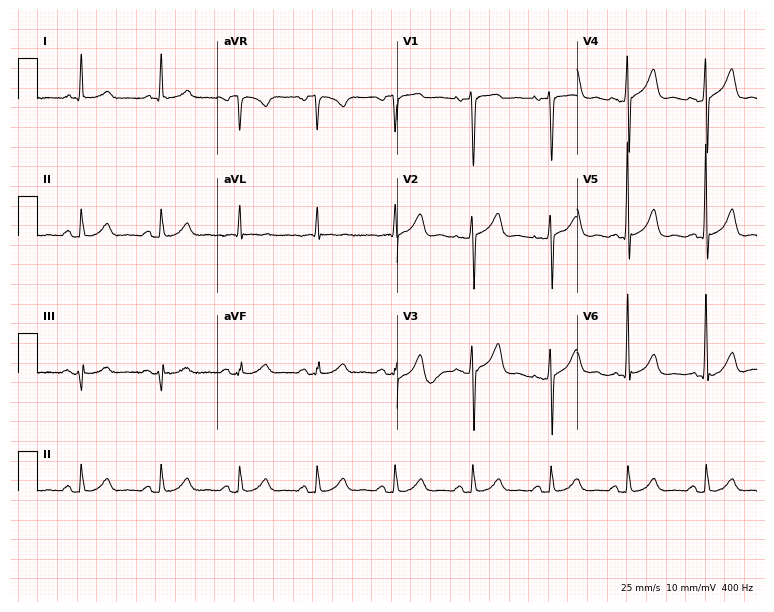
12-lead ECG (7.3-second recording at 400 Hz) from a 68-year-old woman. Labelled as a normal ECG.